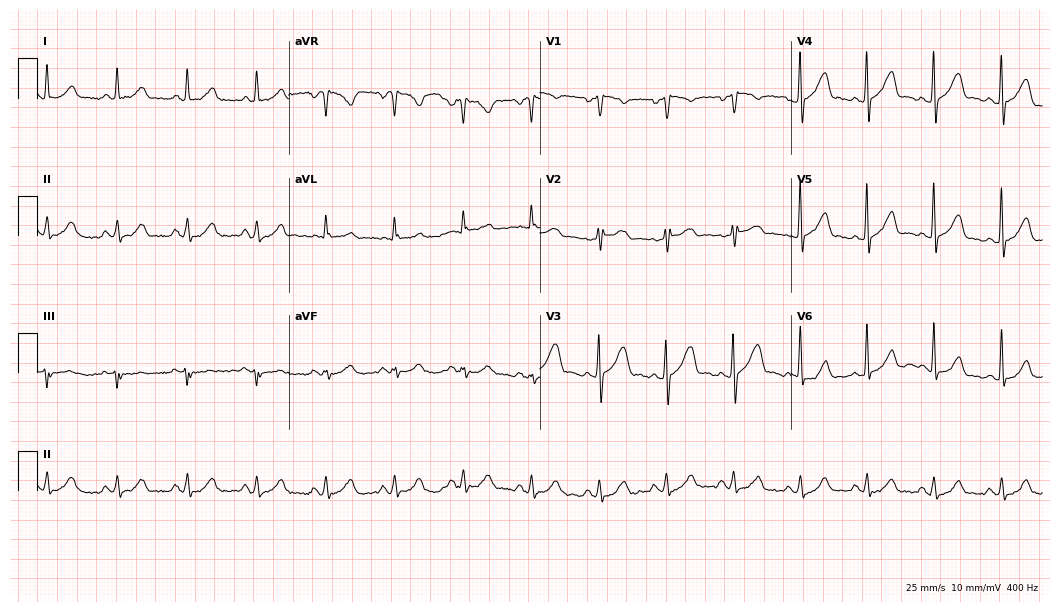
Electrocardiogram, a 58-year-old man. Overall reading on record: normal ECG.